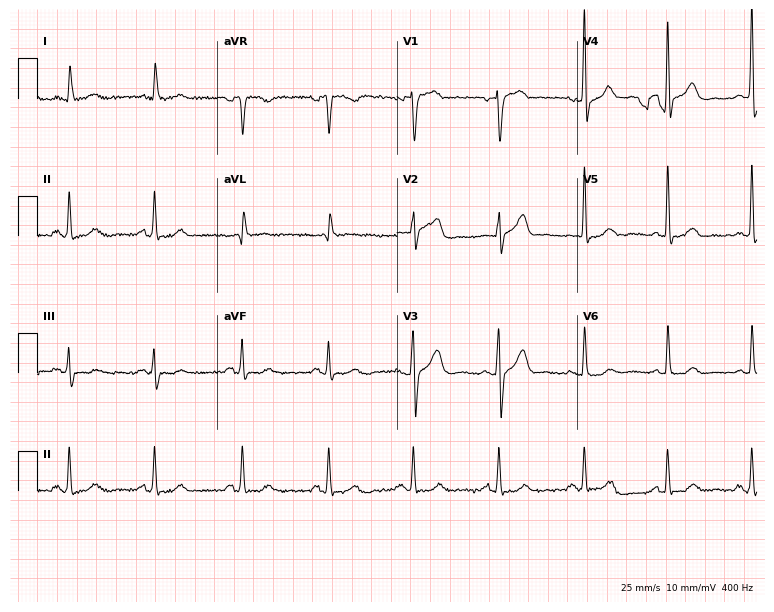
Electrocardiogram (7.3-second recording at 400 Hz), a woman, 63 years old. Of the six screened findings (first-degree AV block, right bundle branch block, left bundle branch block, sinus bradycardia, atrial fibrillation, sinus tachycardia), none is recorded.